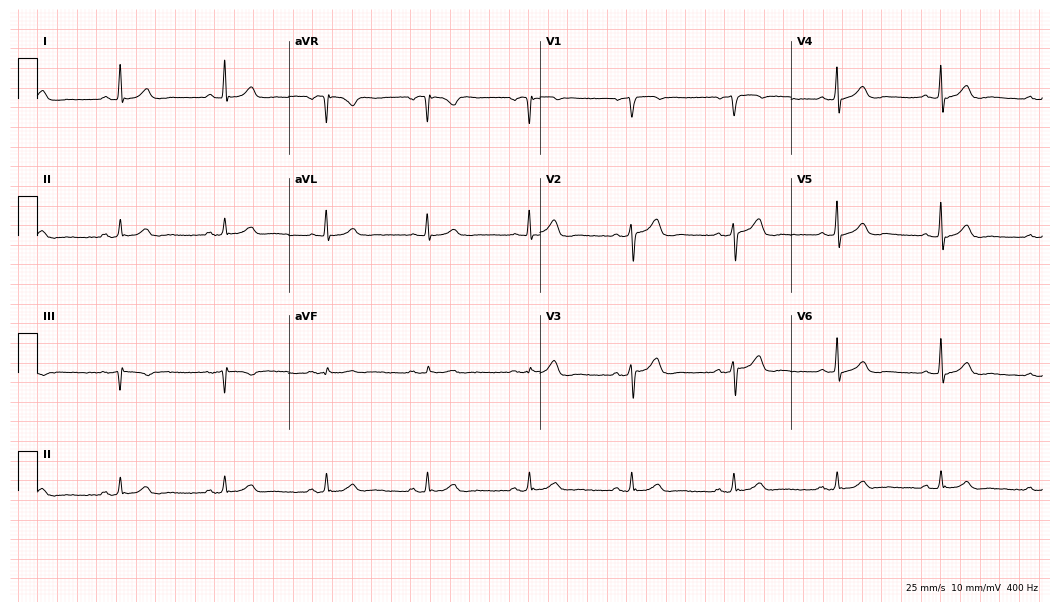
Standard 12-lead ECG recorded from a man, 59 years old. Read as a normal ECG.